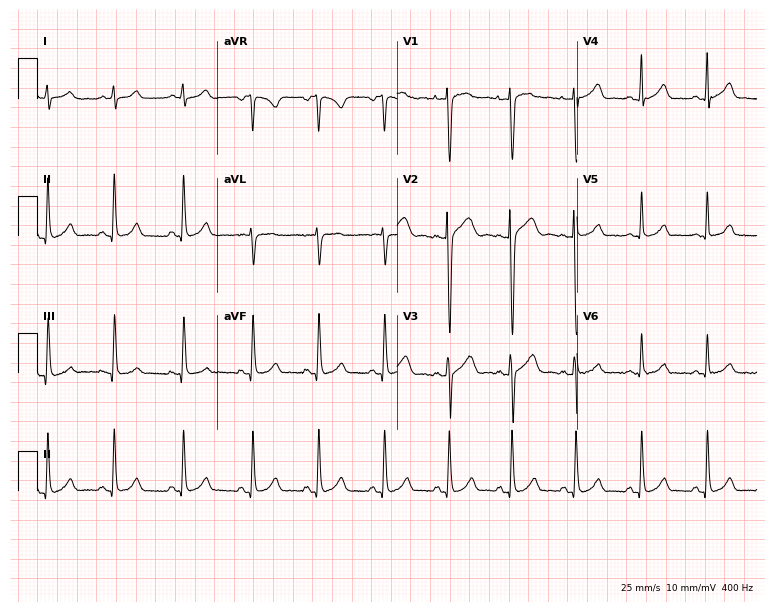
Resting 12-lead electrocardiogram. Patient: a female, 25 years old. Read as a normal ECG.